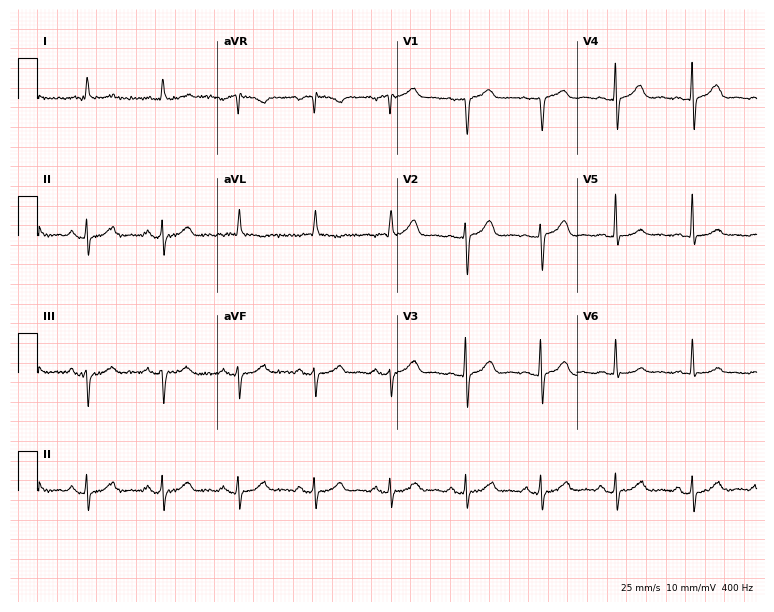
12-lead ECG from an 85-year-old female (7.3-second recording at 400 Hz). No first-degree AV block, right bundle branch block, left bundle branch block, sinus bradycardia, atrial fibrillation or sinus tachycardia recorded for this tracing. Other findings, if any, are not listed.